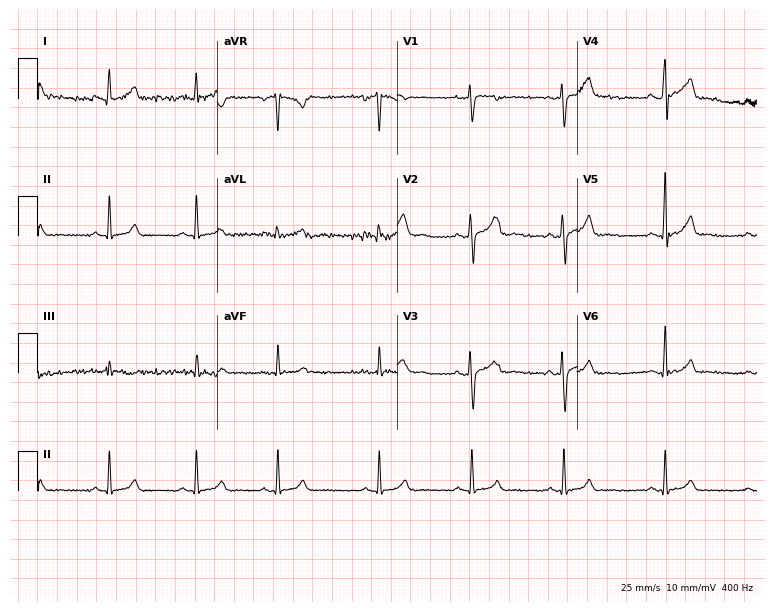
ECG (7.3-second recording at 400 Hz) — a 36-year-old woman. Labelled as a normal ECG.